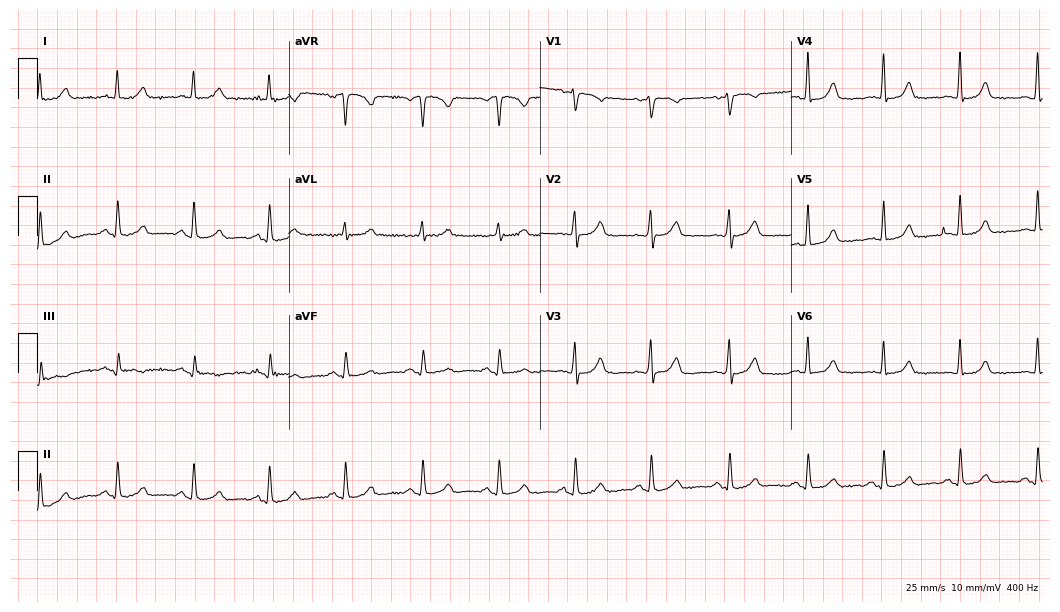
Electrocardiogram (10.2-second recording at 400 Hz), a woman, 57 years old. Of the six screened findings (first-degree AV block, right bundle branch block, left bundle branch block, sinus bradycardia, atrial fibrillation, sinus tachycardia), none is recorded. Findings outside these six are not listed.